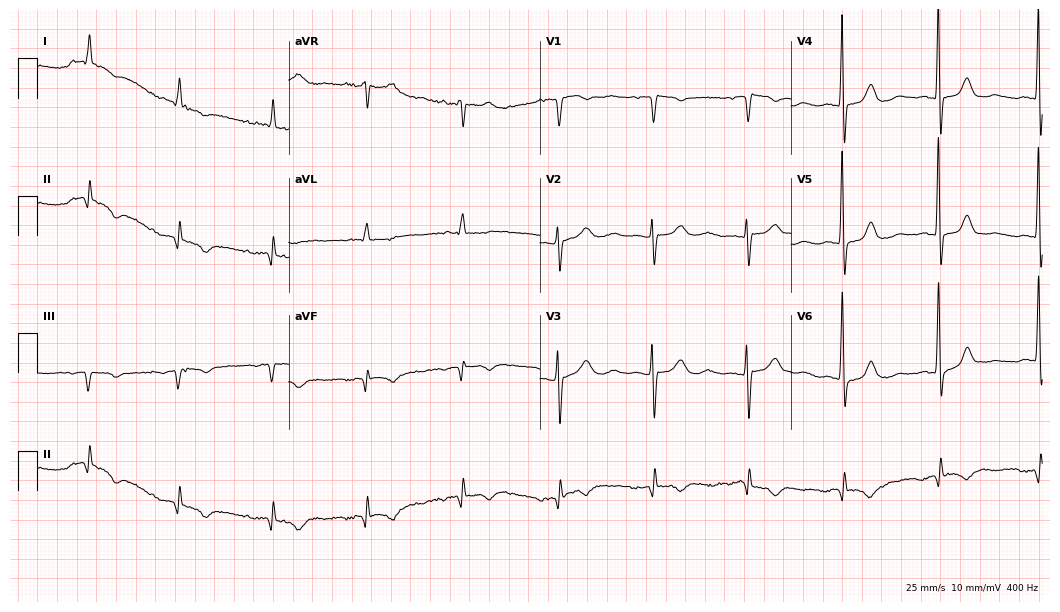
12-lead ECG from an 82-year-old female patient. Screened for six findings — first-degree AV block, right bundle branch block (RBBB), left bundle branch block (LBBB), sinus bradycardia, atrial fibrillation (AF), sinus tachycardia — none is recorded.